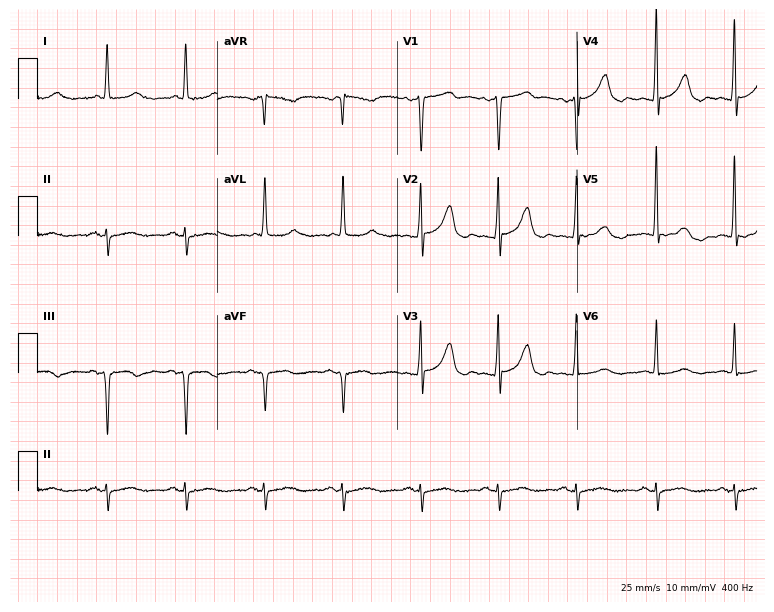
Standard 12-lead ECG recorded from a female patient, 66 years old (7.3-second recording at 400 Hz). None of these six findings is recorded: first-degree AV block, right bundle branch block (RBBB), left bundle branch block (LBBB), sinus bradycardia, atrial fibrillation (AF), sinus tachycardia.